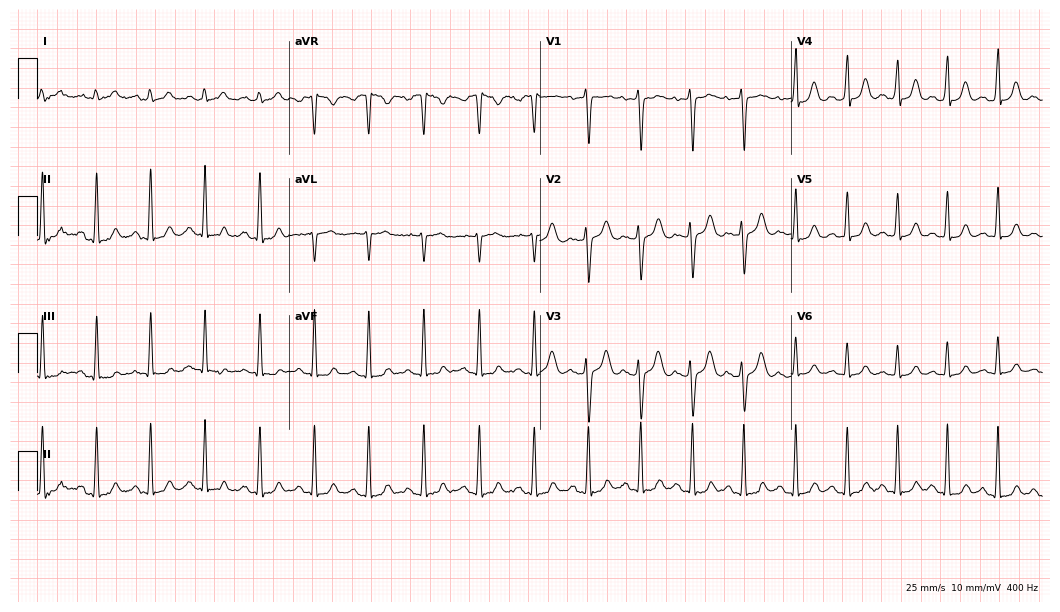
12-lead ECG from a woman, 22 years old (10.2-second recording at 400 Hz). Shows sinus tachycardia (a sinus rate of 100 beats per minute or more).